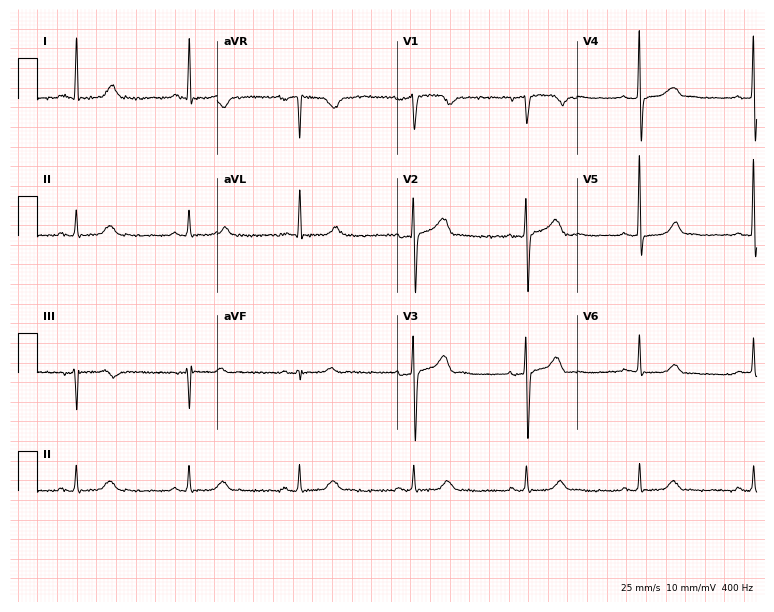
ECG — a man, 62 years old. Screened for six findings — first-degree AV block, right bundle branch block (RBBB), left bundle branch block (LBBB), sinus bradycardia, atrial fibrillation (AF), sinus tachycardia — none is recorded. Findings outside these six are not listed.